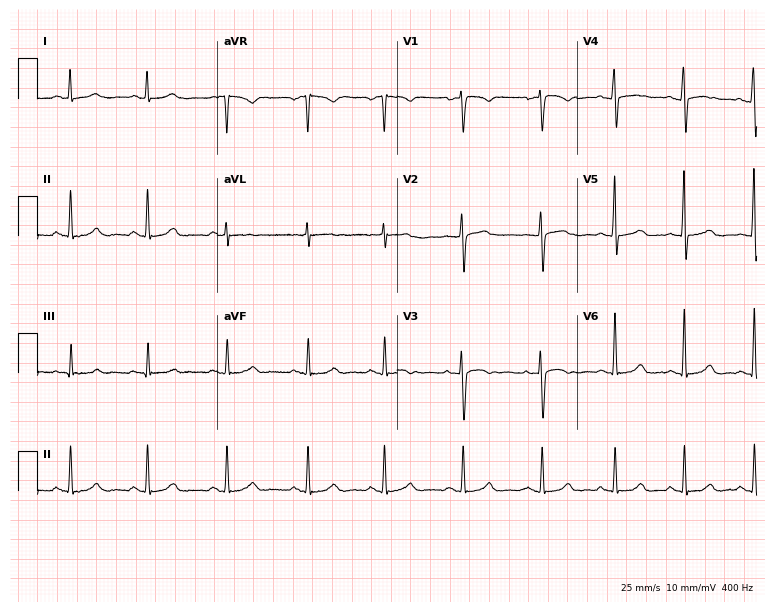
ECG — a female, 36 years old. Screened for six findings — first-degree AV block, right bundle branch block (RBBB), left bundle branch block (LBBB), sinus bradycardia, atrial fibrillation (AF), sinus tachycardia — none is recorded.